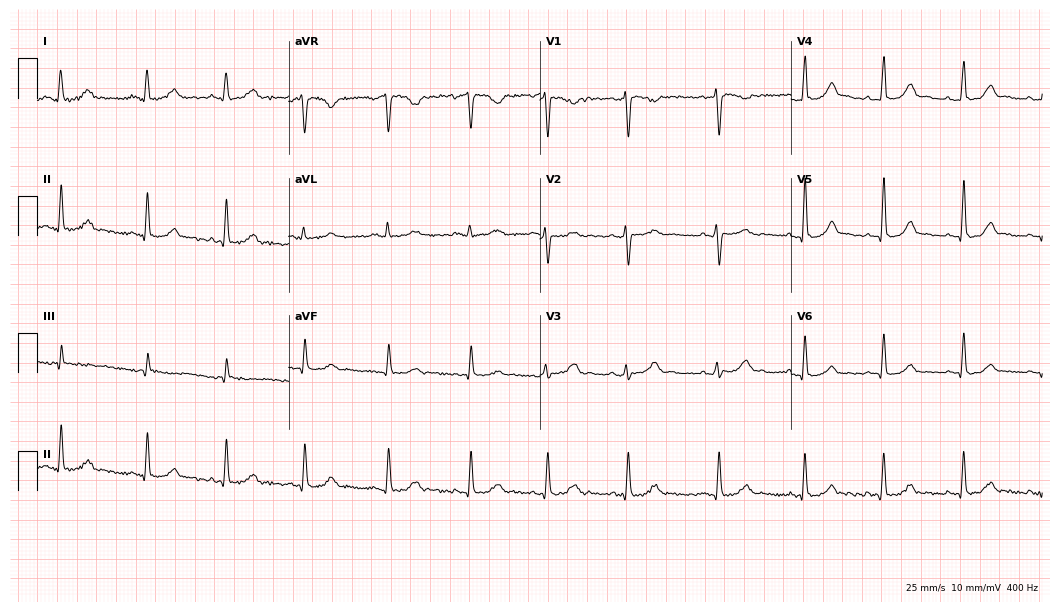
12-lead ECG from a 31-year-old woman (10.2-second recording at 400 Hz). No first-degree AV block, right bundle branch block, left bundle branch block, sinus bradycardia, atrial fibrillation or sinus tachycardia recorded for this tracing. Findings outside these six are not listed.